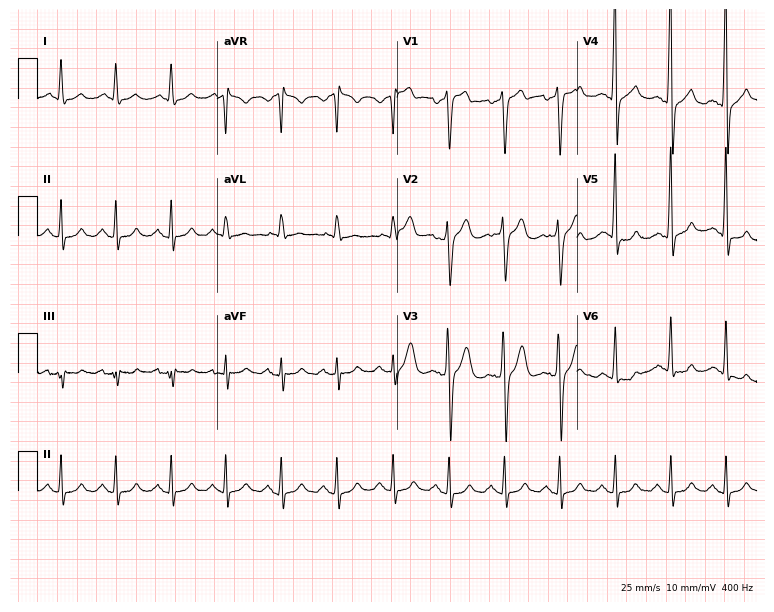
12-lead ECG from a 59-year-old man. Findings include sinus tachycardia (a sinus rate of 100 beats per minute or more).